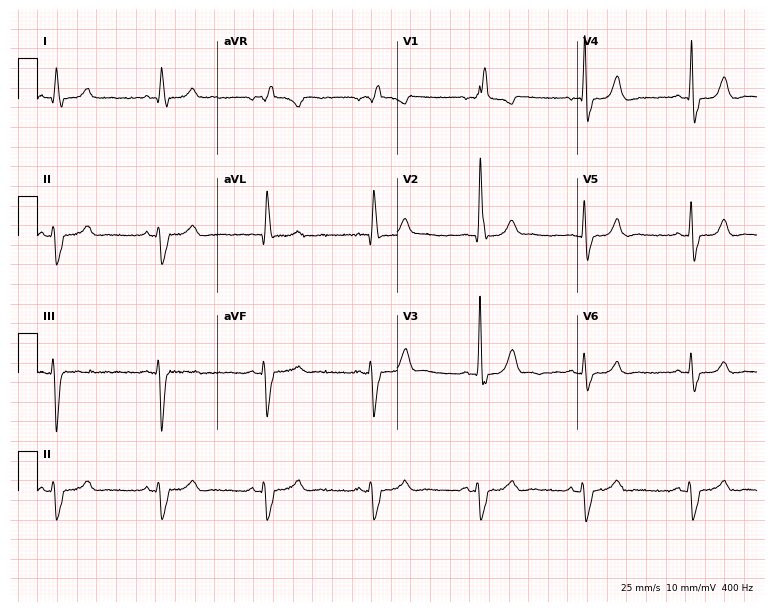
ECG — a male patient, 68 years old. Findings include right bundle branch block.